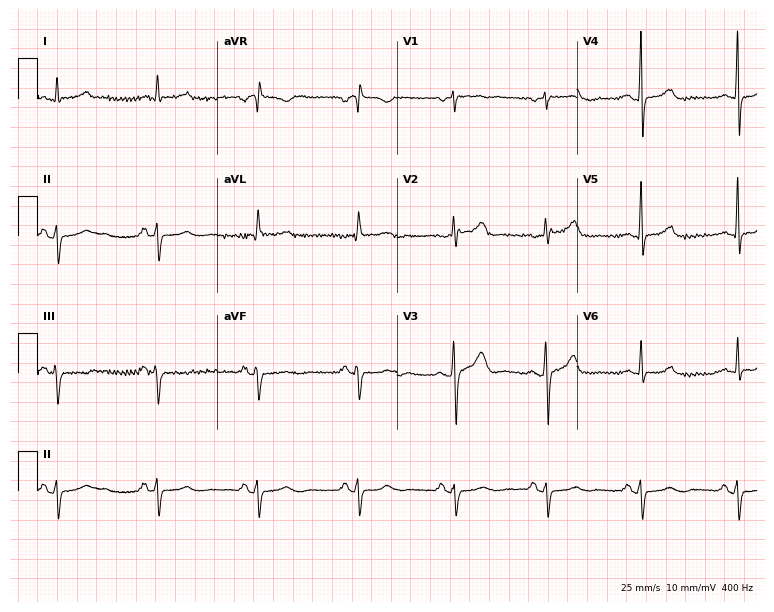
Resting 12-lead electrocardiogram (7.3-second recording at 400 Hz). Patient: a 46-year-old man. None of these six findings is recorded: first-degree AV block, right bundle branch block, left bundle branch block, sinus bradycardia, atrial fibrillation, sinus tachycardia.